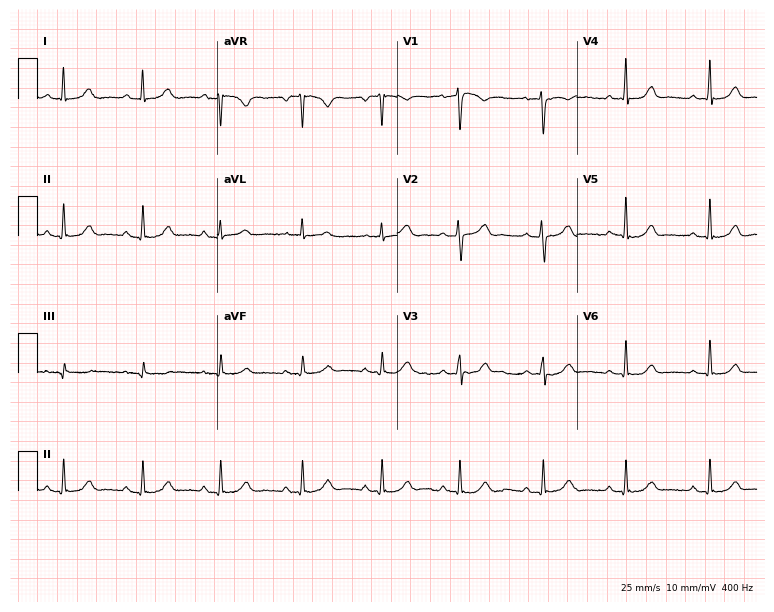
Standard 12-lead ECG recorded from a 38-year-old female. Read as a normal ECG.